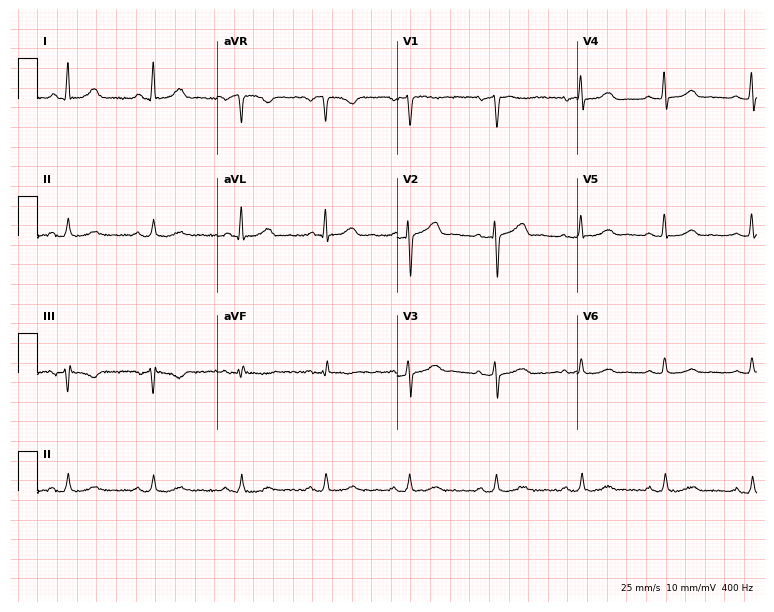
Electrocardiogram (7.3-second recording at 400 Hz), a 76-year-old female. Overall reading on record: normal ECG.